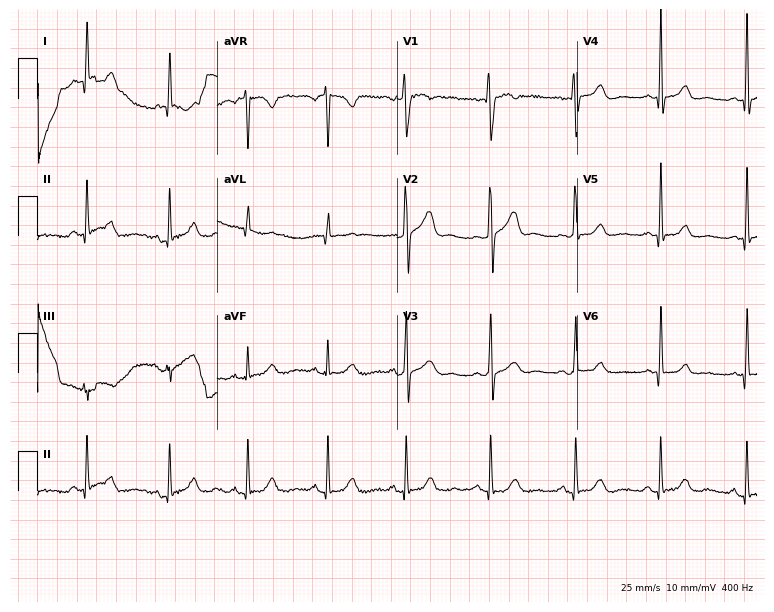
Electrocardiogram, a female, 50 years old. Overall reading on record: normal ECG.